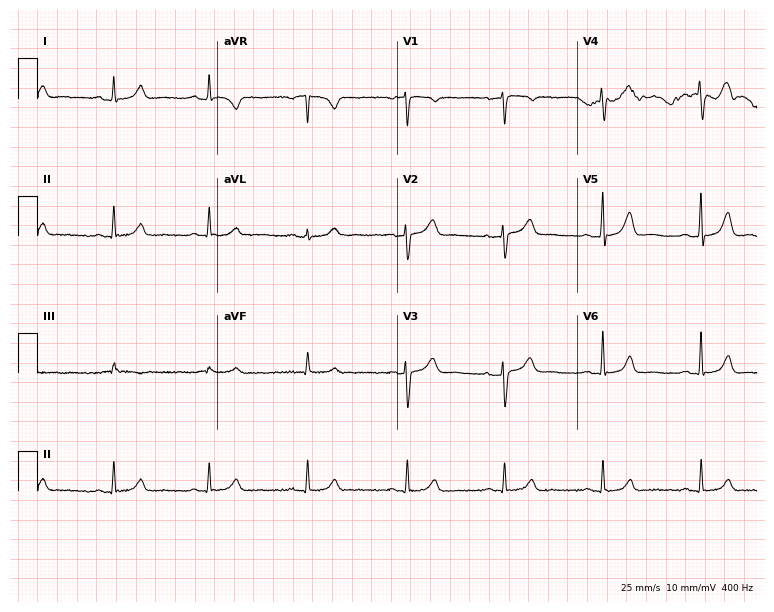
Electrocardiogram (7.3-second recording at 400 Hz), a 61-year-old female patient. Overall reading on record: normal ECG.